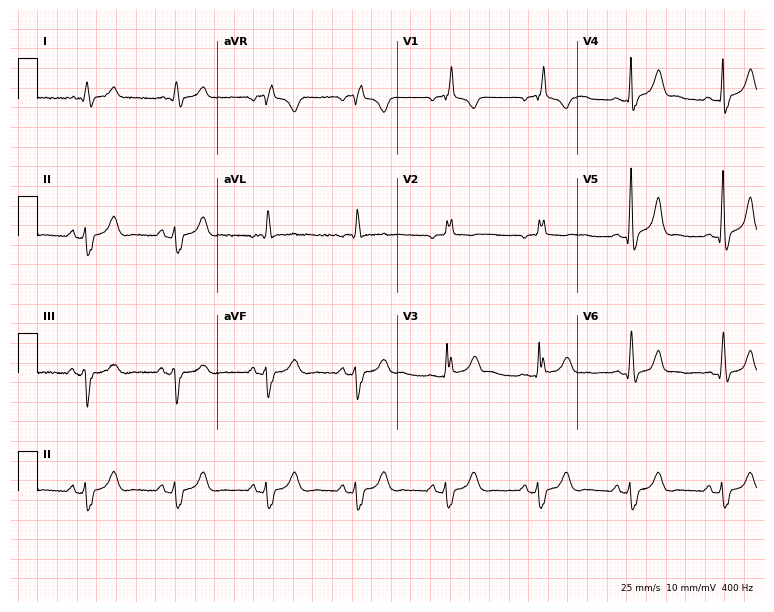
Resting 12-lead electrocardiogram. Patient: a male, 80 years old. The tracing shows right bundle branch block (RBBB).